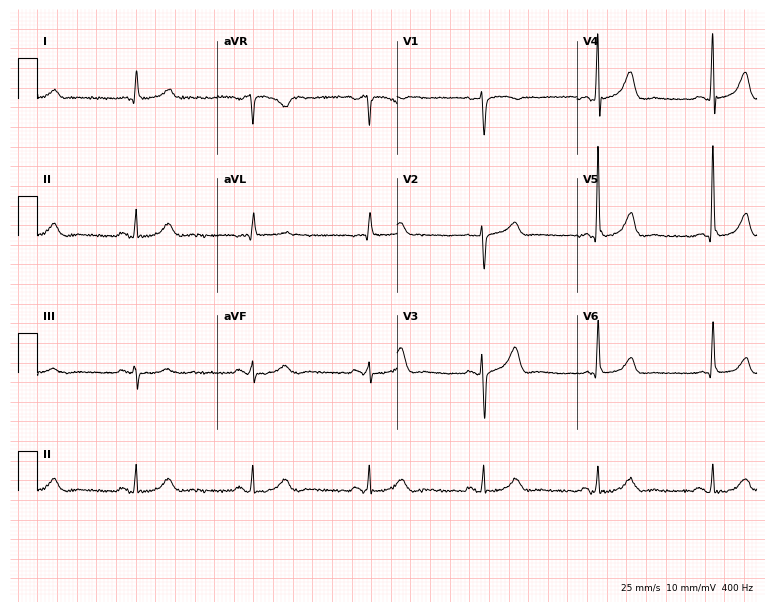
ECG (7.3-second recording at 400 Hz) — a 72-year-old female. Screened for six findings — first-degree AV block, right bundle branch block, left bundle branch block, sinus bradycardia, atrial fibrillation, sinus tachycardia — none is recorded. Only these six findings were labelled.